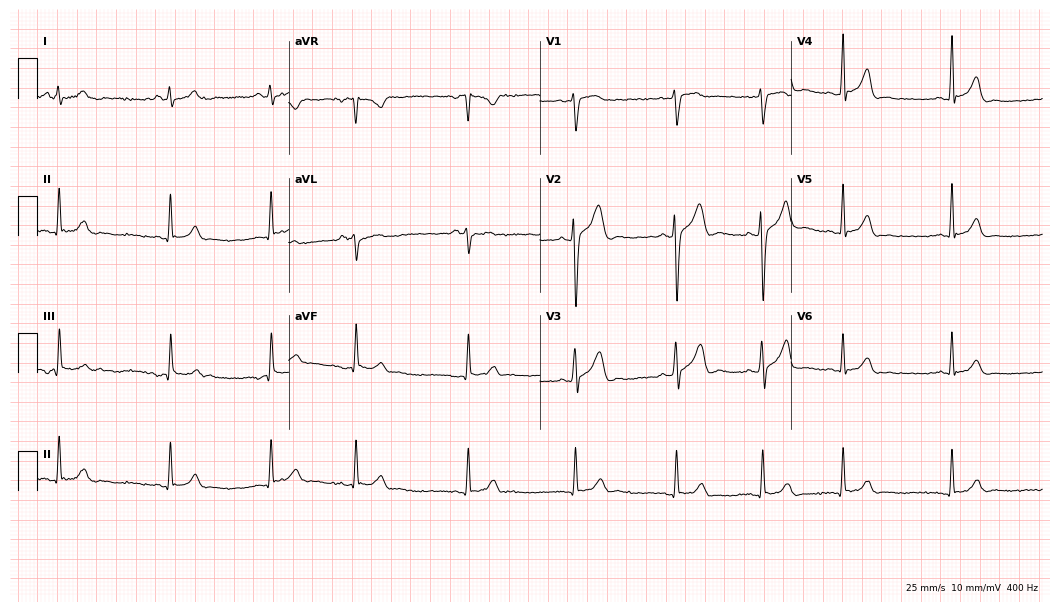
Standard 12-lead ECG recorded from a male patient, 20 years old. Read as a normal ECG.